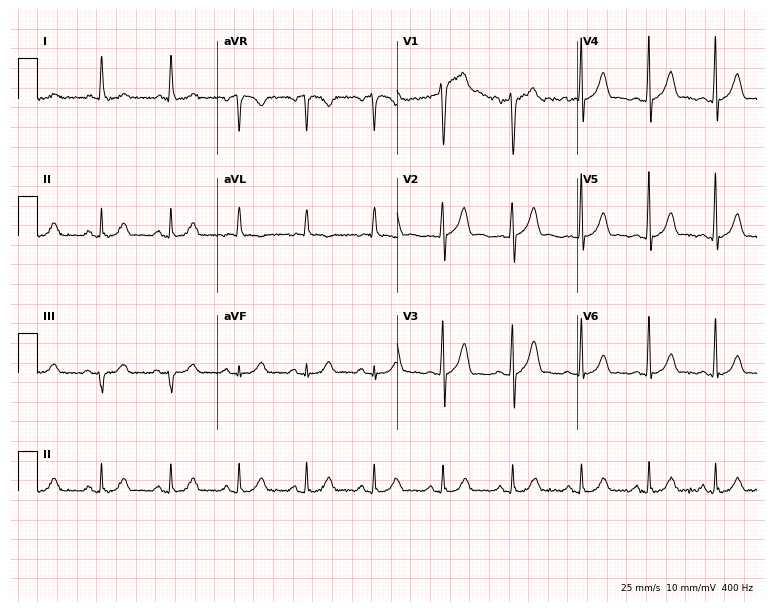
ECG (7.3-second recording at 400 Hz) — a 32-year-old man. Labelled as a normal ECG.